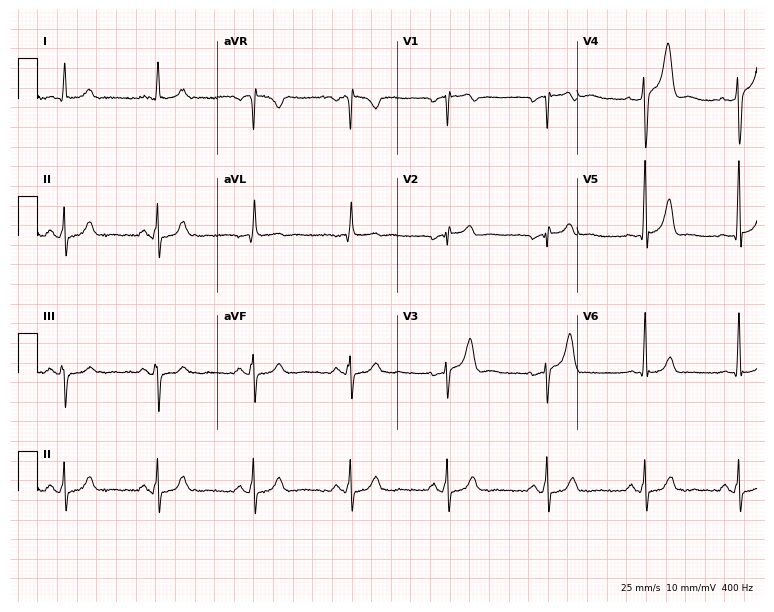
ECG (7.3-second recording at 400 Hz) — a man, 59 years old. Labelled as a normal ECG.